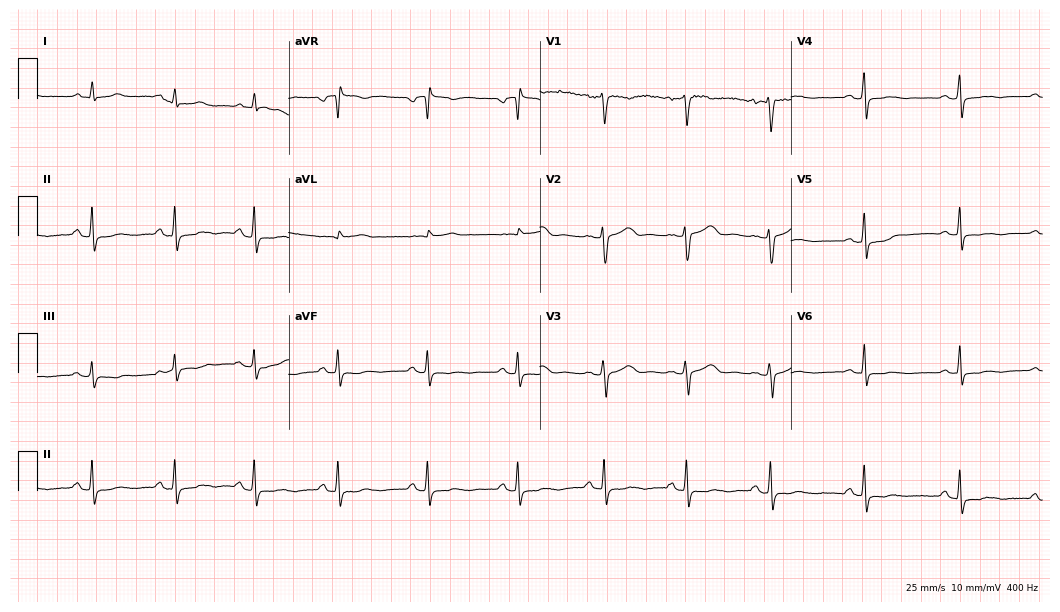
Resting 12-lead electrocardiogram (10.2-second recording at 400 Hz). Patient: a female, 30 years old. None of these six findings is recorded: first-degree AV block, right bundle branch block, left bundle branch block, sinus bradycardia, atrial fibrillation, sinus tachycardia.